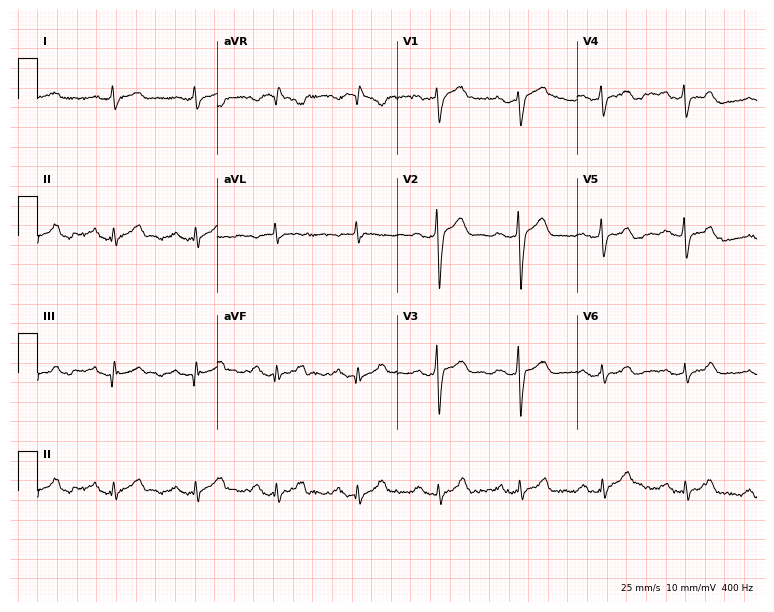
Resting 12-lead electrocardiogram (7.3-second recording at 400 Hz). Patient: a 50-year-old man. None of these six findings is recorded: first-degree AV block, right bundle branch block, left bundle branch block, sinus bradycardia, atrial fibrillation, sinus tachycardia.